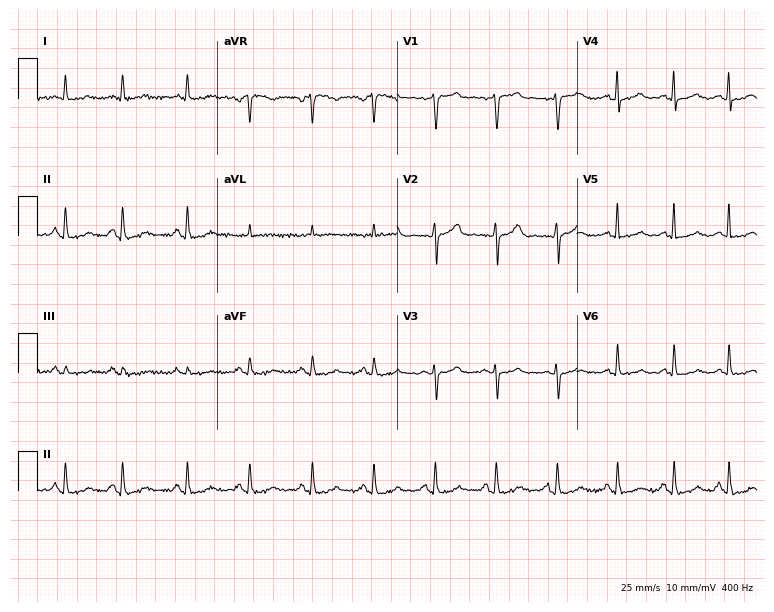
Resting 12-lead electrocardiogram (7.3-second recording at 400 Hz). Patient: a 65-year-old female. Read as a normal ECG.